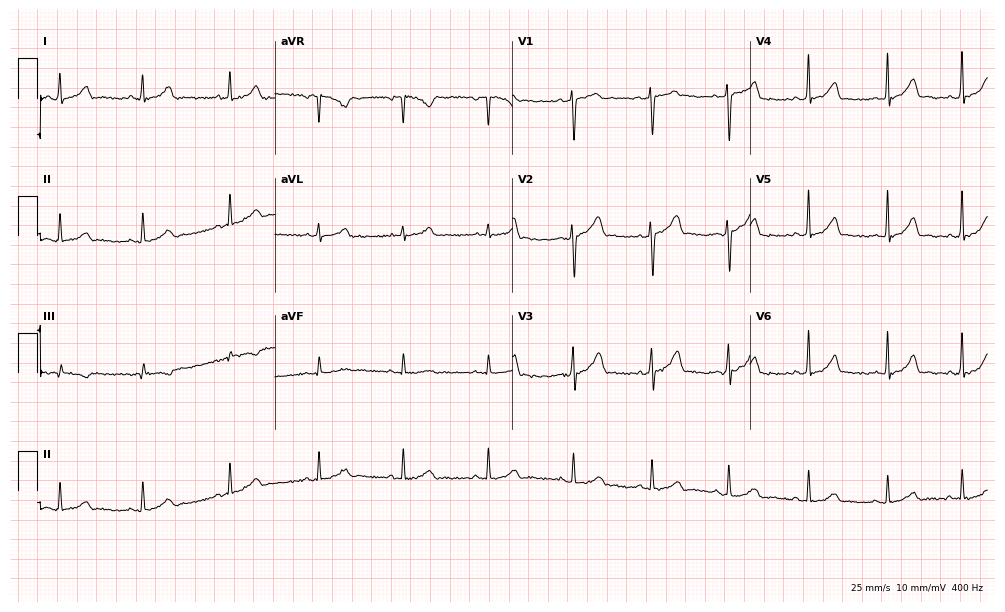
Resting 12-lead electrocardiogram. Patient: a woman, 24 years old. Read as a normal ECG.